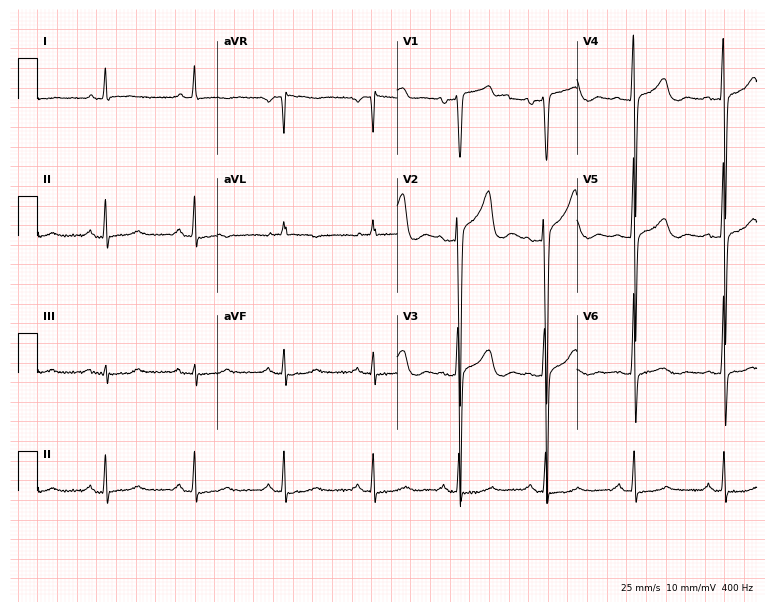
Resting 12-lead electrocardiogram. Patient: a 51-year-old male. None of these six findings is recorded: first-degree AV block, right bundle branch block, left bundle branch block, sinus bradycardia, atrial fibrillation, sinus tachycardia. Other findings, if any, are not listed.